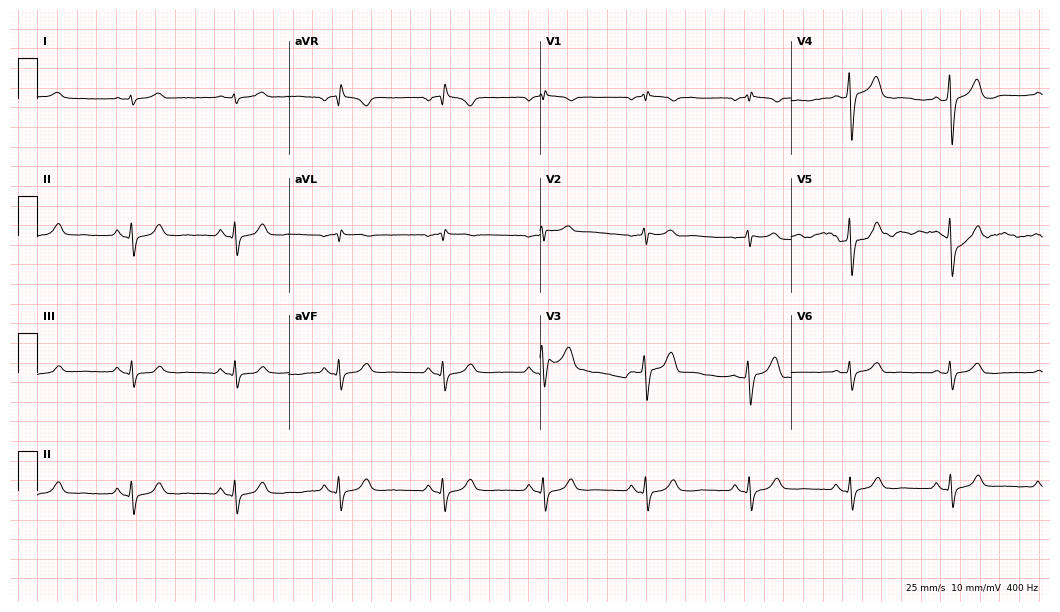
Resting 12-lead electrocardiogram (10.2-second recording at 400 Hz). Patient: a male, 48 years old. None of these six findings is recorded: first-degree AV block, right bundle branch block, left bundle branch block, sinus bradycardia, atrial fibrillation, sinus tachycardia. Only these six findings were labelled.